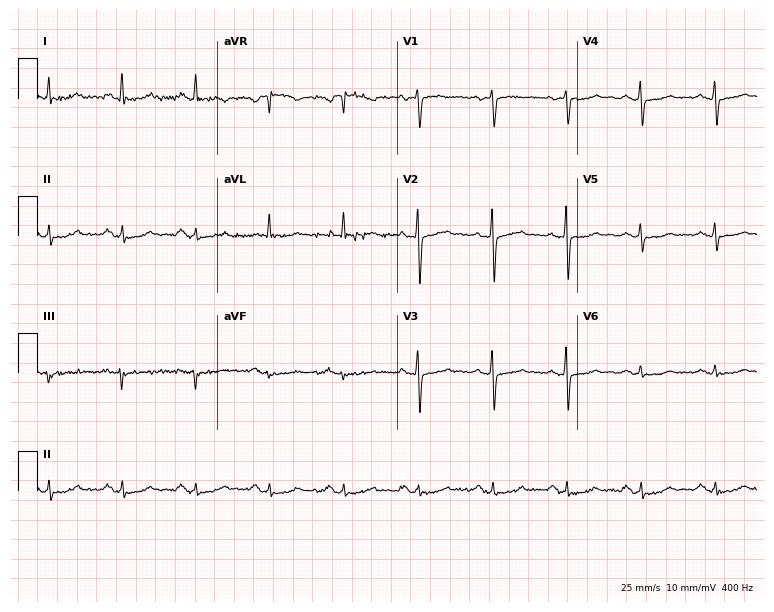
ECG (7.3-second recording at 400 Hz) — a 60-year-old female patient. Labelled as a normal ECG.